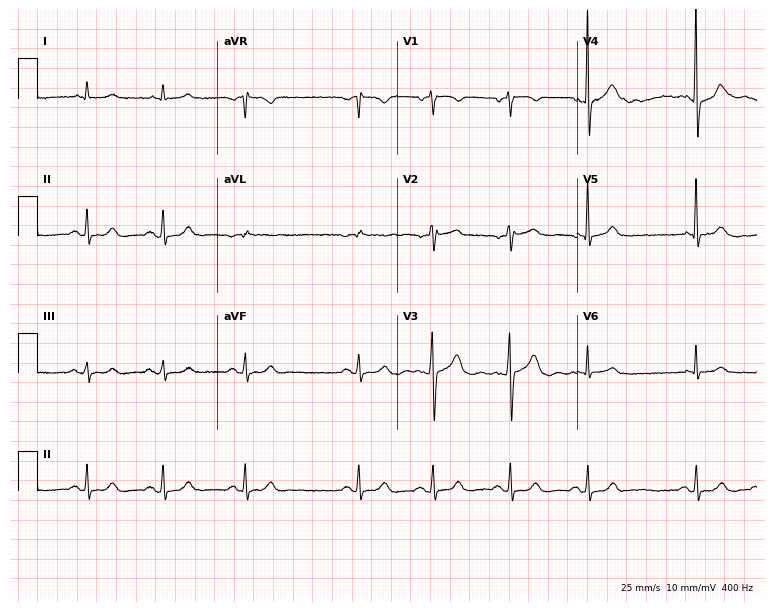
12-lead ECG from a male, 84 years old. Screened for six findings — first-degree AV block, right bundle branch block, left bundle branch block, sinus bradycardia, atrial fibrillation, sinus tachycardia — none is recorded. Findings outside these six are not listed.